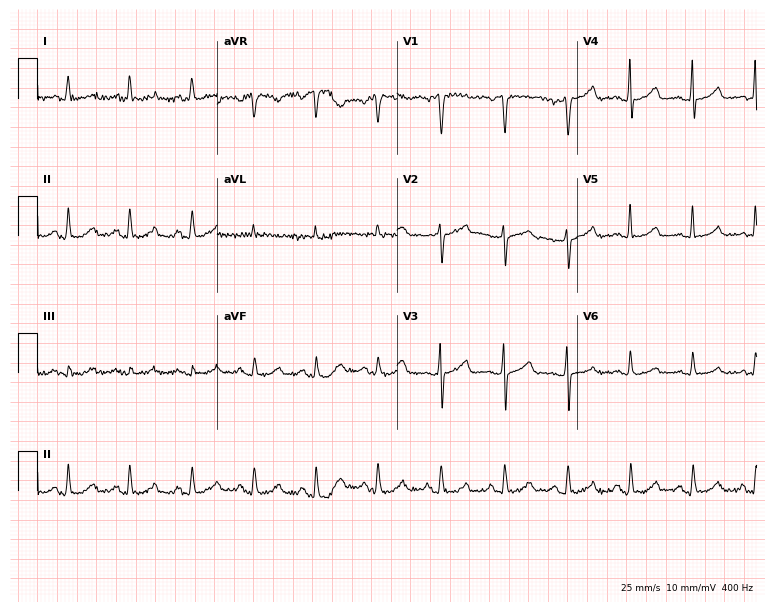
ECG (7.3-second recording at 400 Hz) — a man, 81 years old. Screened for six findings — first-degree AV block, right bundle branch block, left bundle branch block, sinus bradycardia, atrial fibrillation, sinus tachycardia — none is recorded.